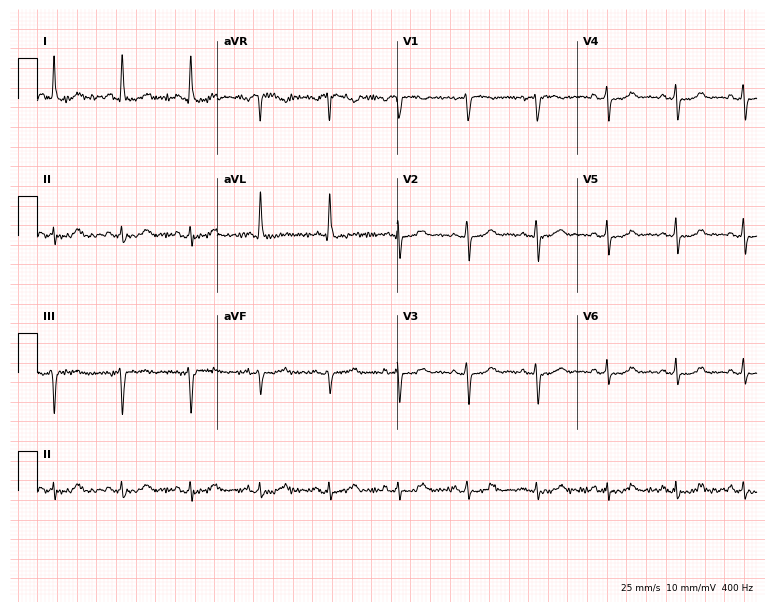
ECG (7.3-second recording at 400 Hz) — a woman, 58 years old. Labelled as a normal ECG.